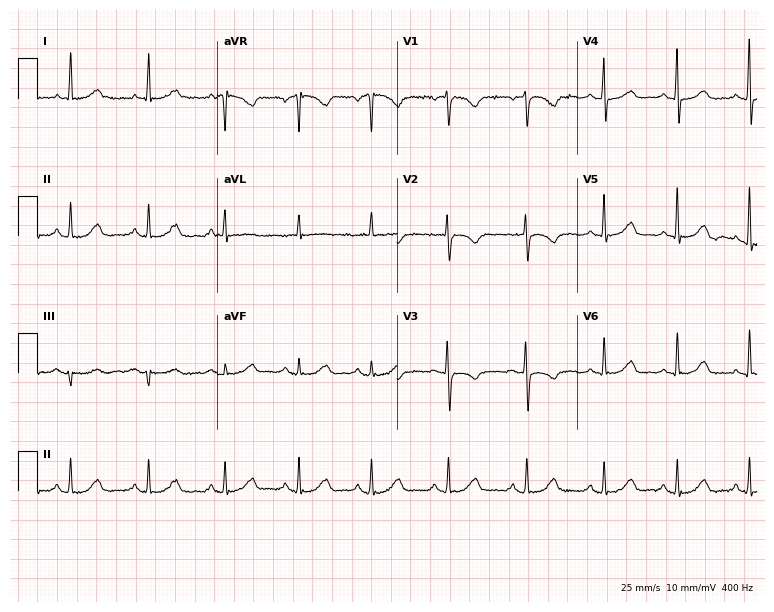
ECG — a female patient, 62 years old. Screened for six findings — first-degree AV block, right bundle branch block, left bundle branch block, sinus bradycardia, atrial fibrillation, sinus tachycardia — none is recorded.